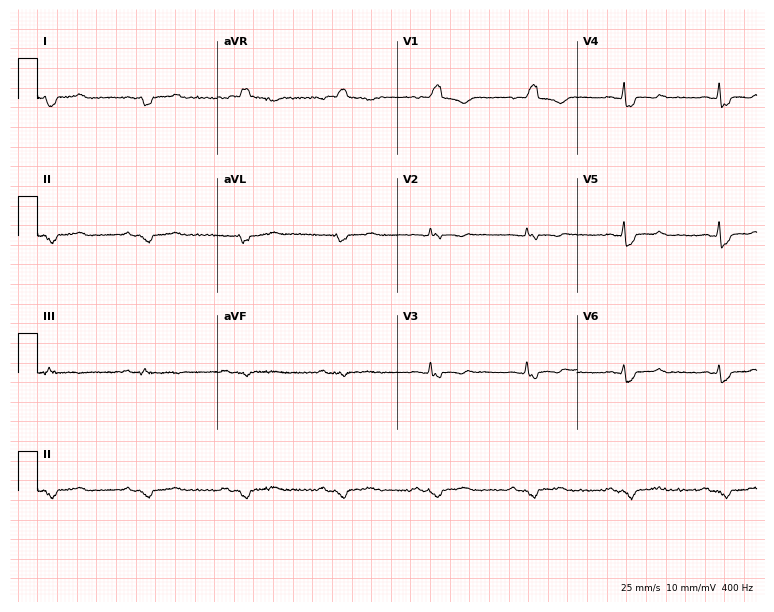
Electrocardiogram (7.3-second recording at 400 Hz), a woman, 63 years old. Of the six screened findings (first-degree AV block, right bundle branch block (RBBB), left bundle branch block (LBBB), sinus bradycardia, atrial fibrillation (AF), sinus tachycardia), none is recorded.